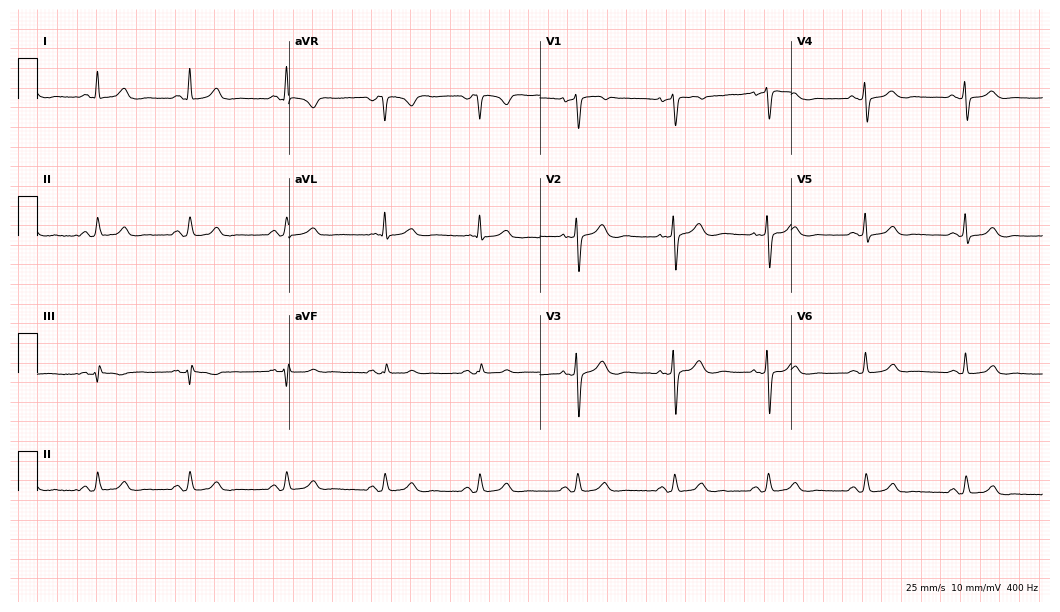
Electrocardiogram (10.2-second recording at 400 Hz), a female patient, 41 years old. Of the six screened findings (first-degree AV block, right bundle branch block, left bundle branch block, sinus bradycardia, atrial fibrillation, sinus tachycardia), none is recorded.